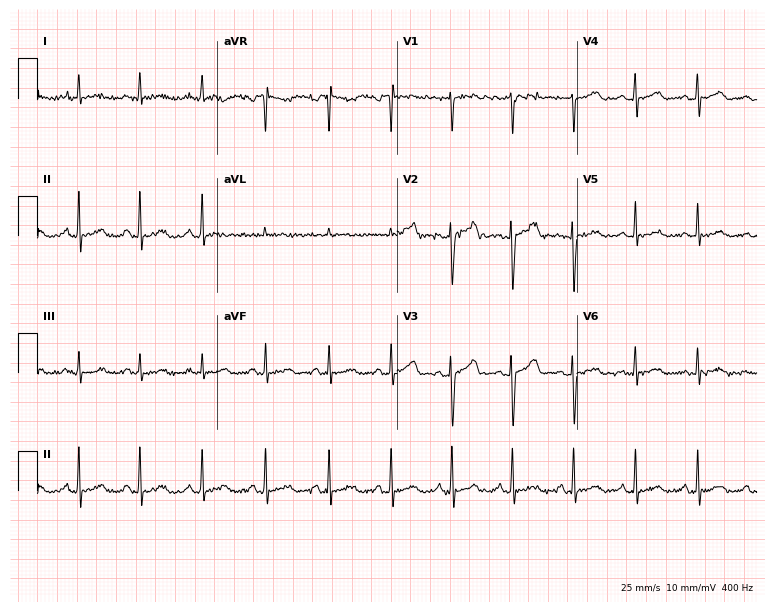
Electrocardiogram, a female patient, 39 years old. Of the six screened findings (first-degree AV block, right bundle branch block, left bundle branch block, sinus bradycardia, atrial fibrillation, sinus tachycardia), none is recorded.